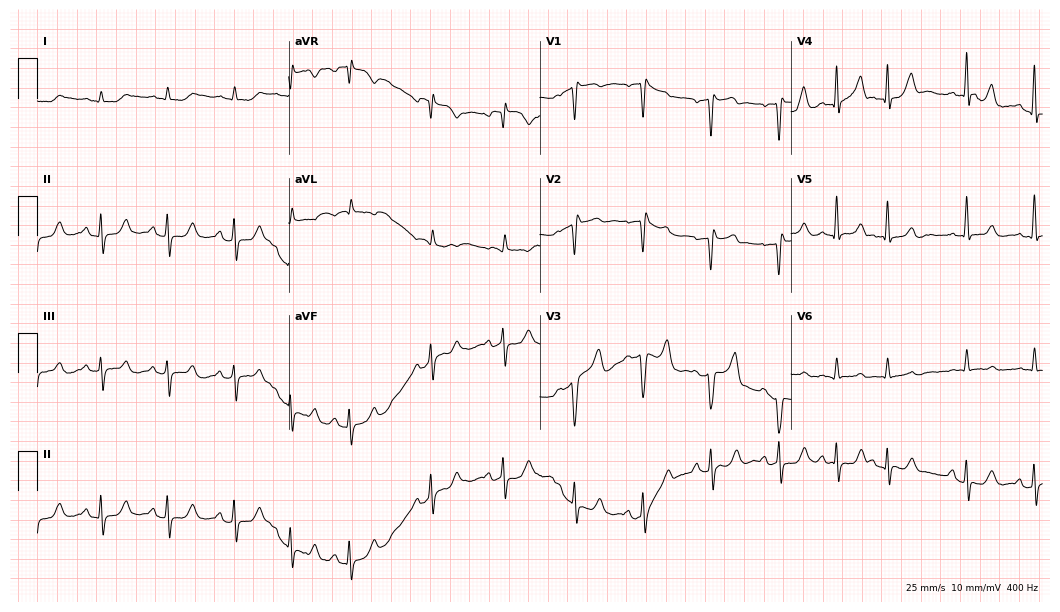
ECG — a 66-year-old male patient. Screened for six findings — first-degree AV block, right bundle branch block (RBBB), left bundle branch block (LBBB), sinus bradycardia, atrial fibrillation (AF), sinus tachycardia — none is recorded. Findings outside these six are not listed.